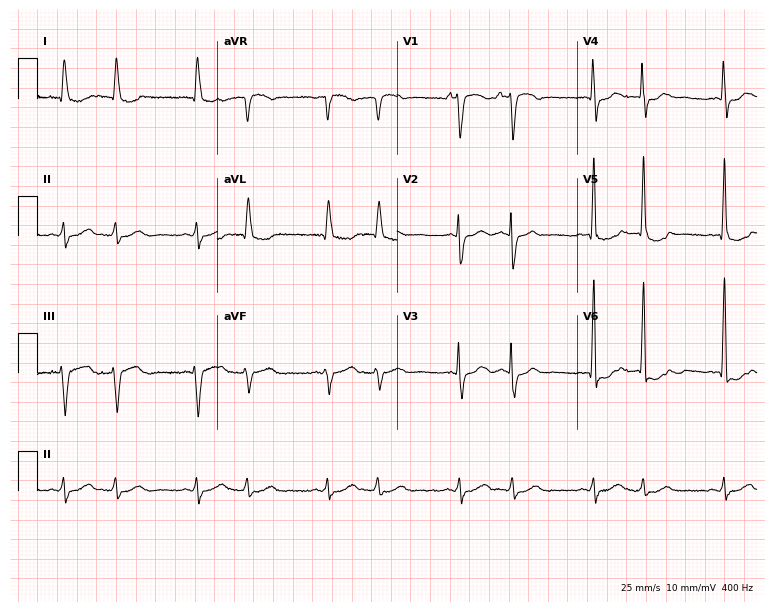
Electrocardiogram (7.3-second recording at 400 Hz), a man, 67 years old. Of the six screened findings (first-degree AV block, right bundle branch block (RBBB), left bundle branch block (LBBB), sinus bradycardia, atrial fibrillation (AF), sinus tachycardia), none is recorded. Other findings, if any, are not listed.